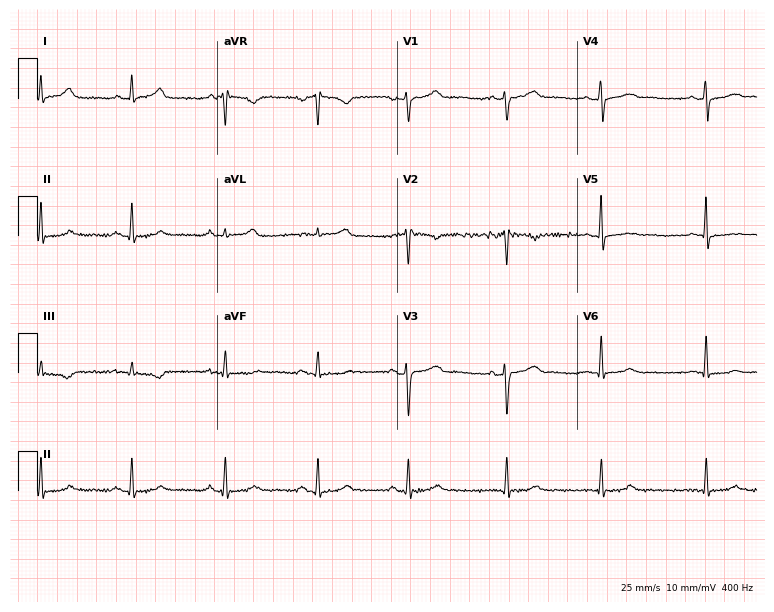
Resting 12-lead electrocardiogram (7.3-second recording at 400 Hz). Patient: a 46-year-old female. None of these six findings is recorded: first-degree AV block, right bundle branch block (RBBB), left bundle branch block (LBBB), sinus bradycardia, atrial fibrillation (AF), sinus tachycardia. Only these six findings were labelled.